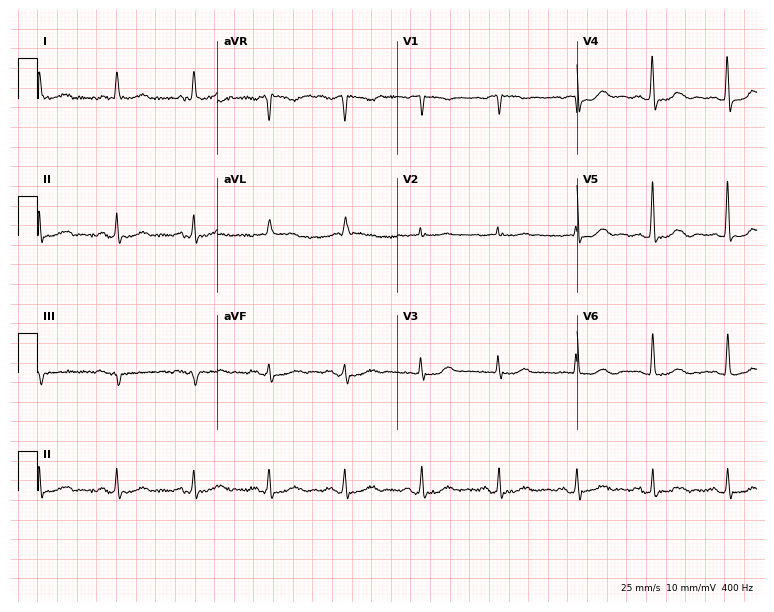
ECG — a female patient, 79 years old. Labelled as a normal ECG.